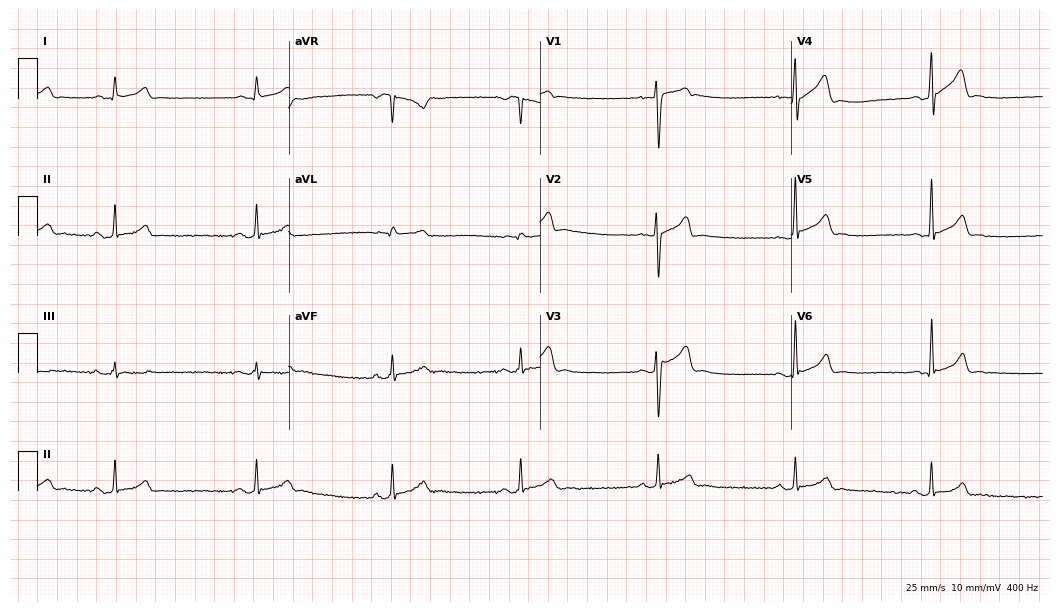
ECG (10.2-second recording at 400 Hz) — a male patient, 28 years old. Findings include sinus bradycardia (a sinus rate of 50 beats per minute or less).